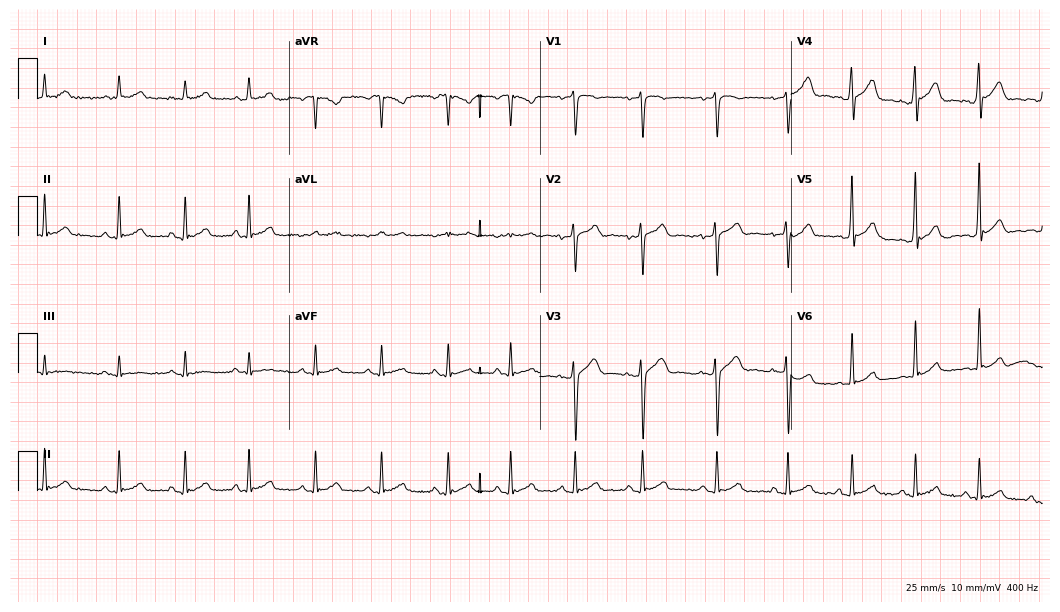
Standard 12-lead ECG recorded from a 17-year-old male patient (10.2-second recording at 400 Hz). Read as a normal ECG.